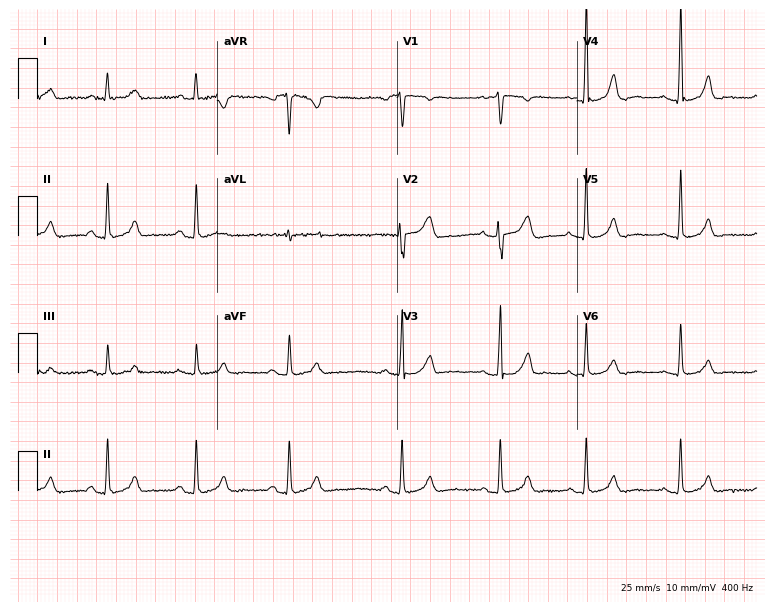
ECG — a female patient, 32 years old. Labelled as a normal ECG.